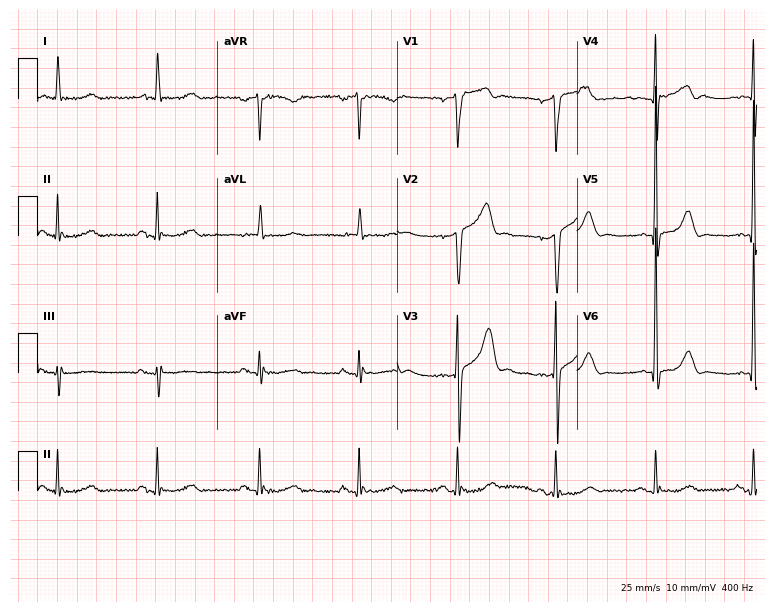
Resting 12-lead electrocardiogram. Patient: a 78-year-old male. None of these six findings is recorded: first-degree AV block, right bundle branch block, left bundle branch block, sinus bradycardia, atrial fibrillation, sinus tachycardia. Only these six findings were labelled.